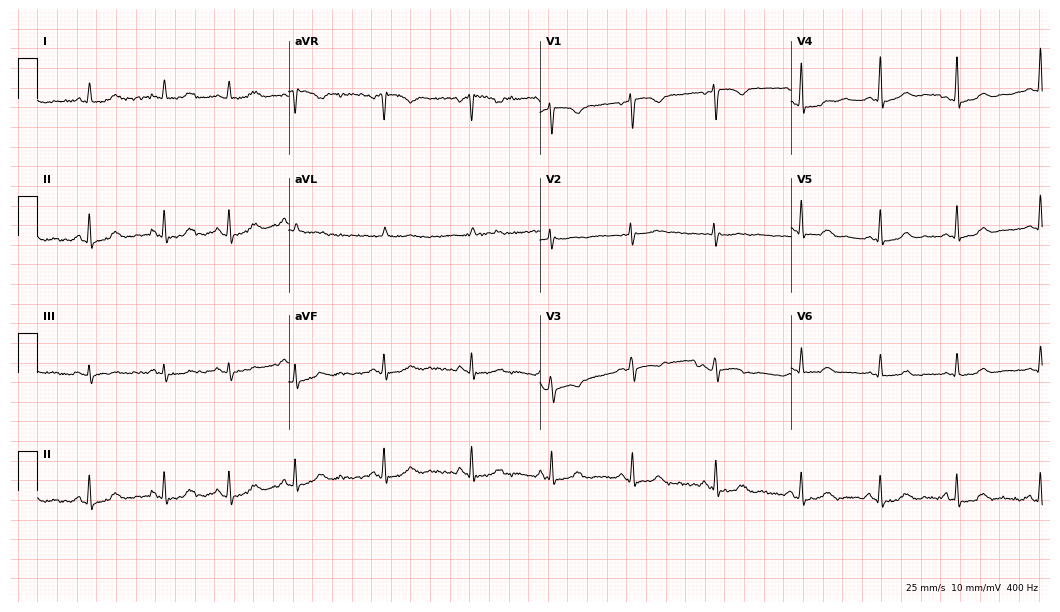
Resting 12-lead electrocardiogram. Patient: a 29-year-old female. None of these six findings is recorded: first-degree AV block, right bundle branch block, left bundle branch block, sinus bradycardia, atrial fibrillation, sinus tachycardia.